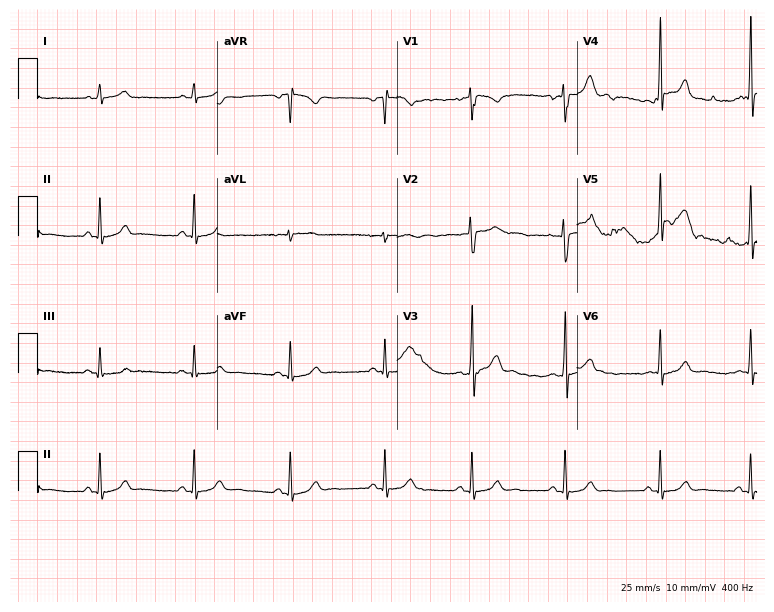
Standard 12-lead ECG recorded from a 20-year-old female (7.3-second recording at 400 Hz). Read as a normal ECG.